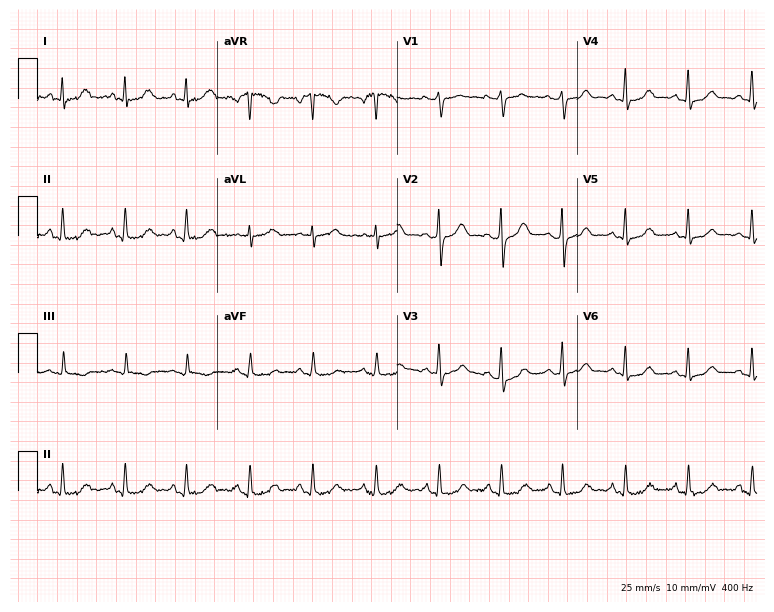
Standard 12-lead ECG recorded from a 61-year-old female patient (7.3-second recording at 400 Hz). None of these six findings is recorded: first-degree AV block, right bundle branch block, left bundle branch block, sinus bradycardia, atrial fibrillation, sinus tachycardia. Findings outside these six are not listed.